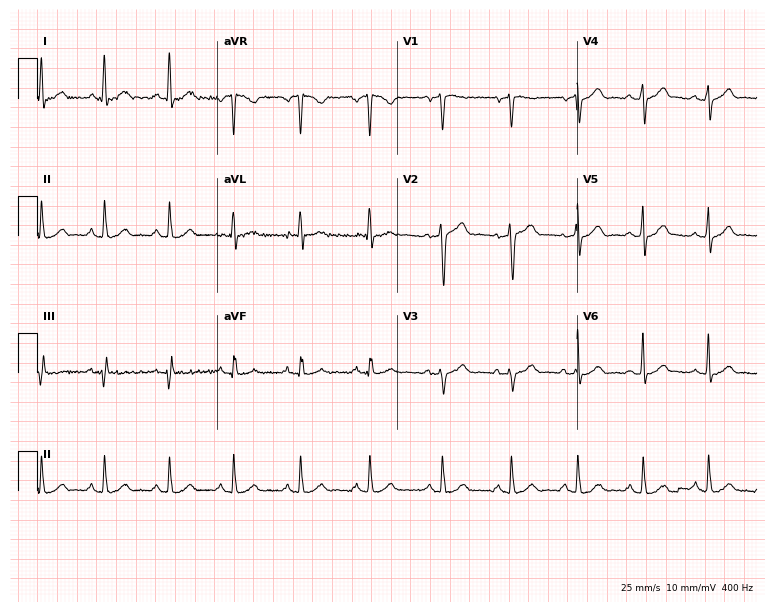
Resting 12-lead electrocardiogram. Patient: a male, 44 years old. Read as a normal ECG.